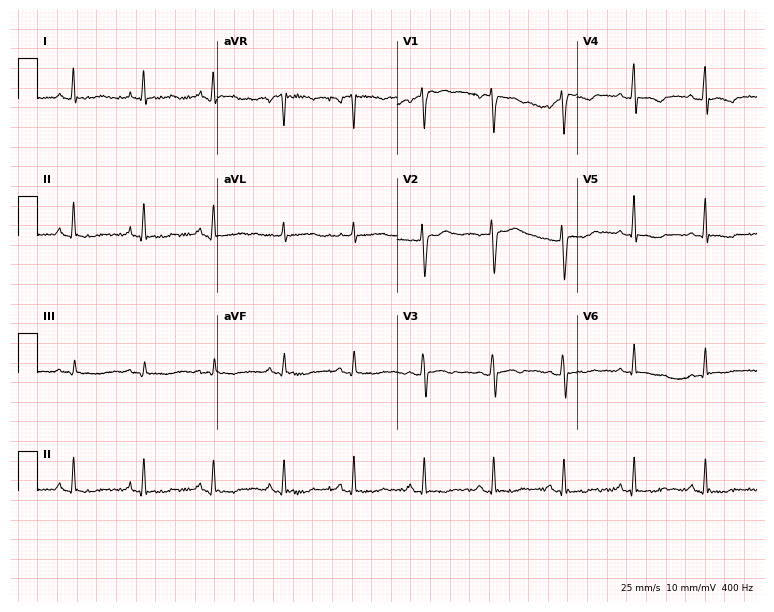
ECG (7.3-second recording at 400 Hz) — a female patient, 33 years old. Screened for six findings — first-degree AV block, right bundle branch block, left bundle branch block, sinus bradycardia, atrial fibrillation, sinus tachycardia — none is recorded. Only these six findings were labelled.